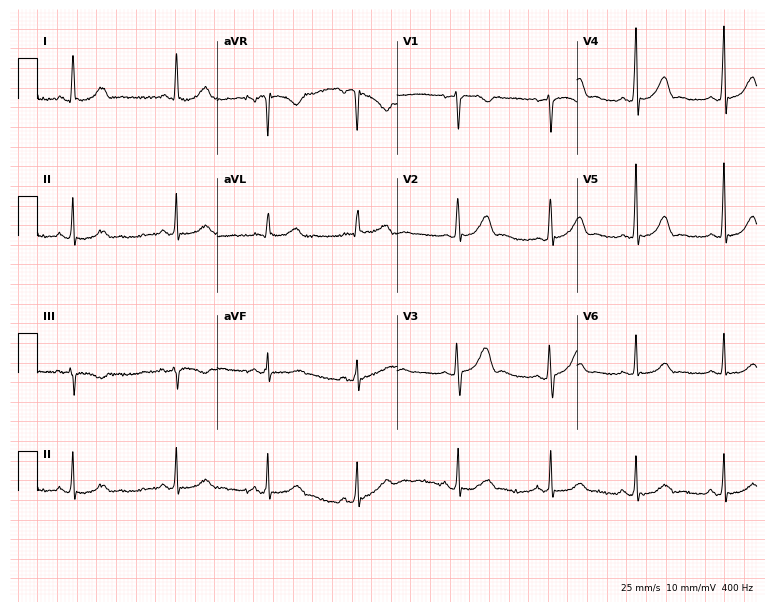
Standard 12-lead ECG recorded from a 36-year-old female (7.3-second recording at 400 Hz). None of these six findings is recorded: first-degree AV block, right bundle branch block, left bundle branch block, sinus bradycardia, atrial fibrillation, sinus tachycardia. Other findings, if any, are not listed.